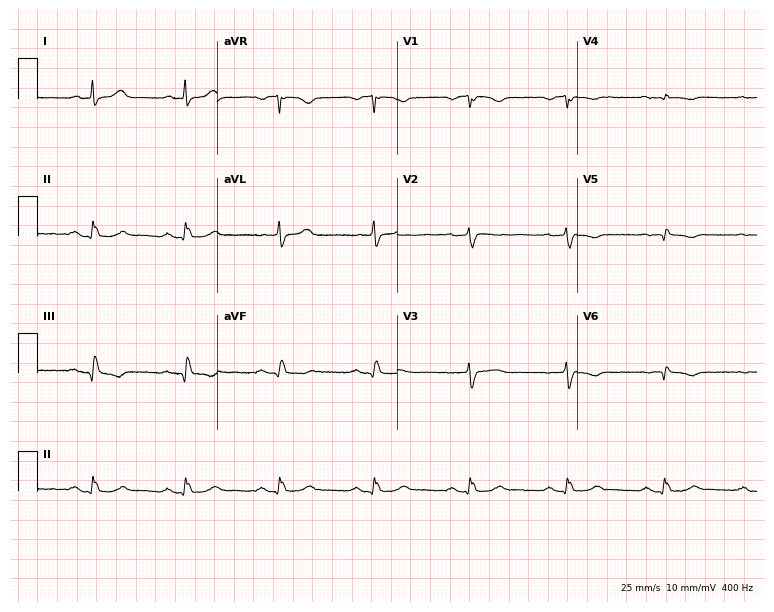
Resting 12-lead electrocardiogram (7.3-second recording at 400 Hz). Patient: a man, 63 years old. None of these six findings is recorded: first-degree AV block, right bundle branch block, left bundle branch block, sinus bradycardia, atrial fibrillation, sinus tachycardia.